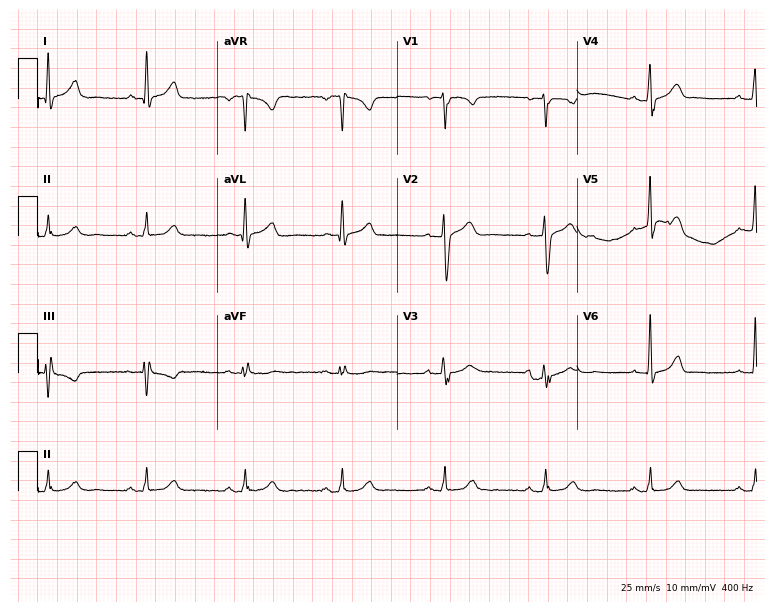
Standard 12-lead ECG recorded from a male patient, 54 years old (7.3-second recording at 400 Hz). Read as a normal ECG.